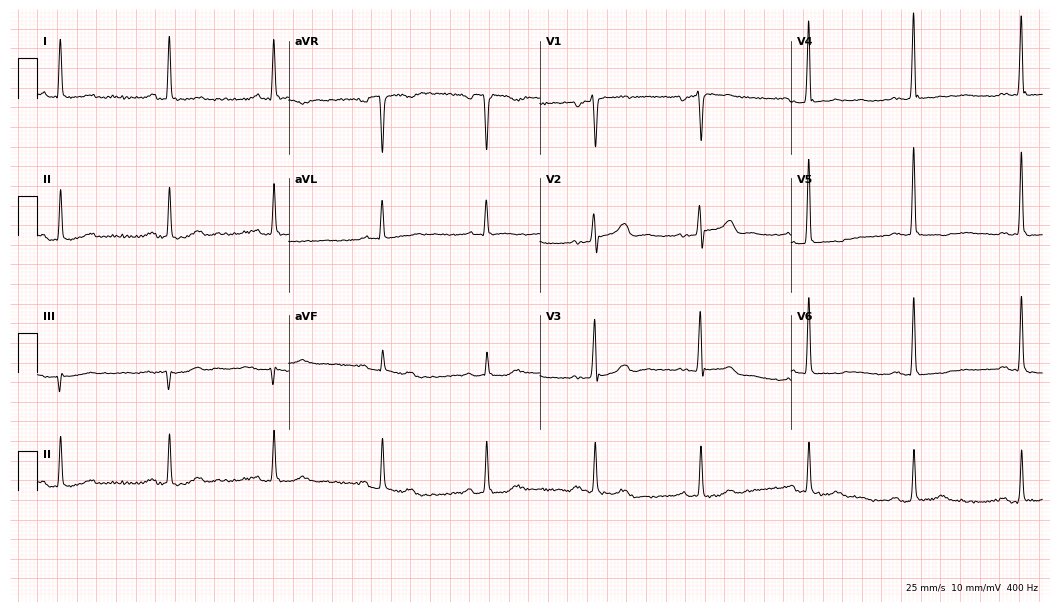
Electrocardiogram, a 64-year-old woman. Of the six screened findings (first-degree AV block, right bundle branch block (RBBB), left bundle branch block (LBBB), sinus bradycardia, atrial fibrillation (AF), sinus tachycardia), none is recorded.